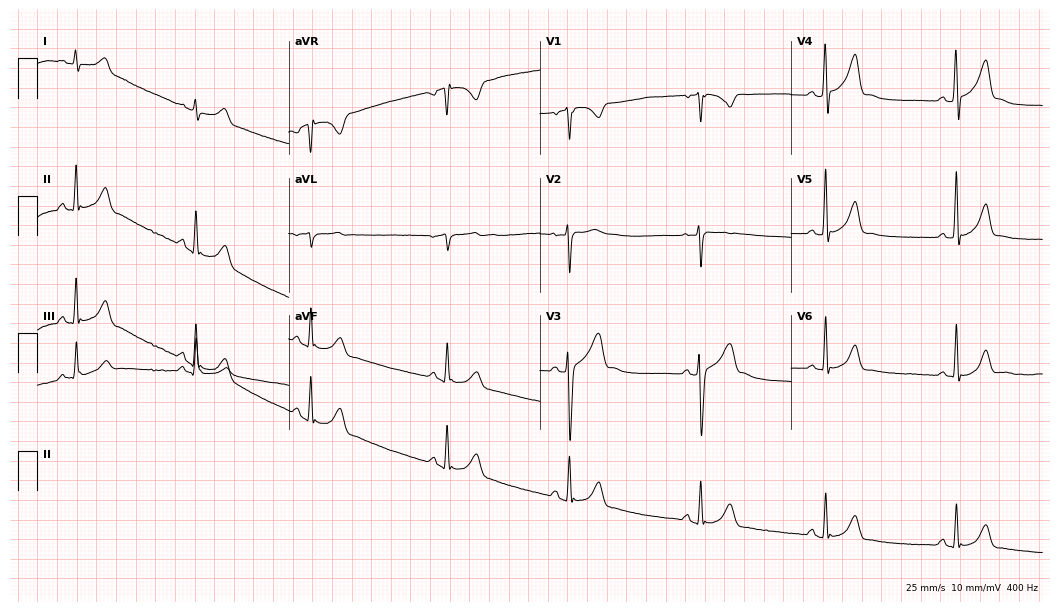
12-lead ECG (10.2-second recording at 400 Hz) from a 32-year-old man. Findings include sinus bradycardia (a sinus rate of 50 beats per minute or less).